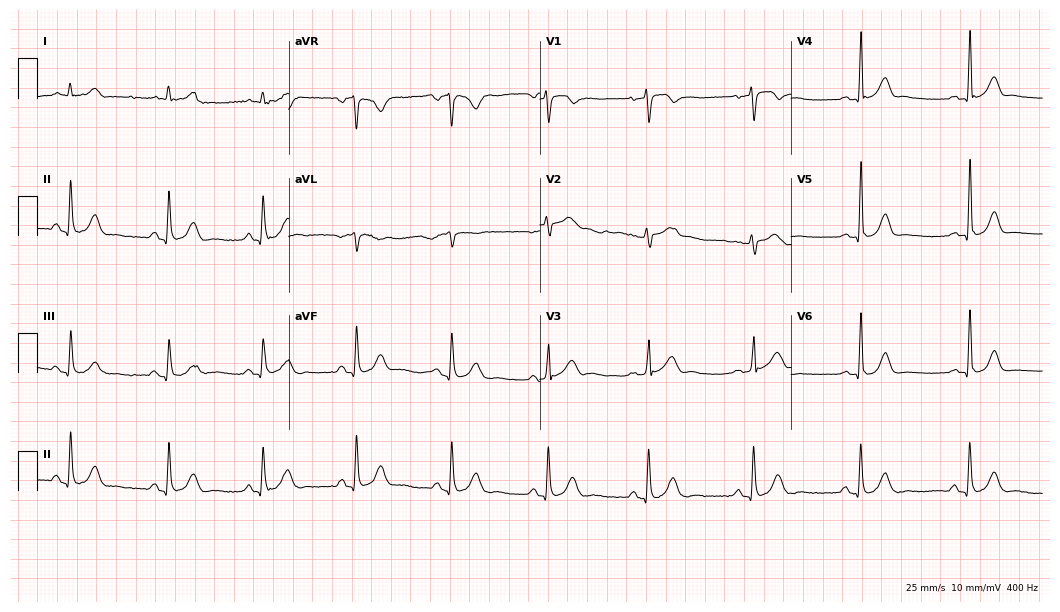
Standard 12-lead ECG recorded from a male, 51 years old (10.2-second recording at 400 Hz). Read as a normal ECG.